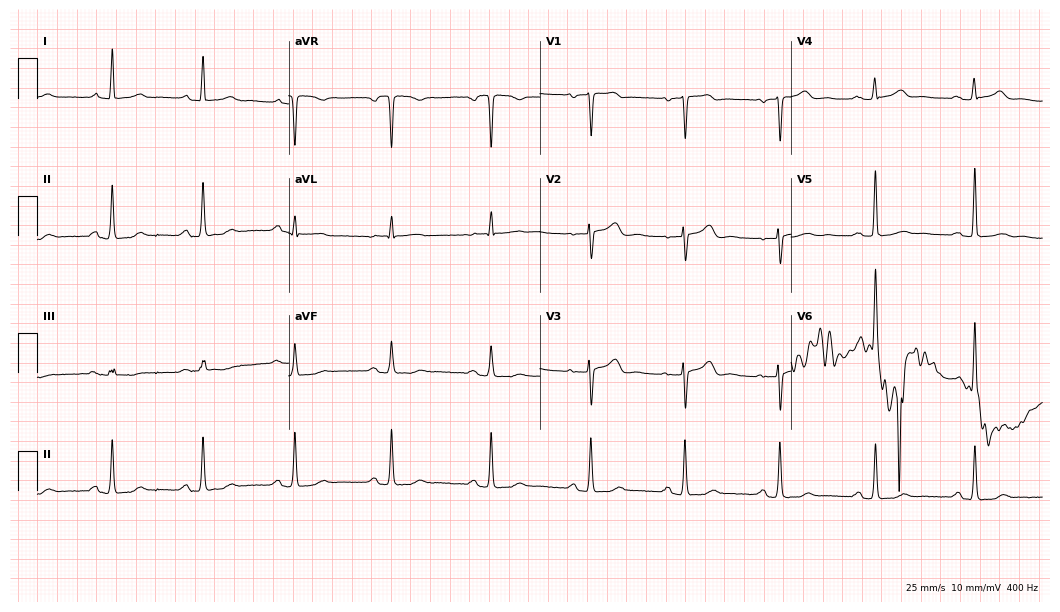
ECG (10.2-second recording at 400 Hz) — a female, 57 years old. Screened for six findings — first-degree AV block, right bundle branch block (RBBB), left bundle branch block (LBBB), sinus bradycardia, atrial fibrillation (AF), sinus tachycardia — none is recorded.